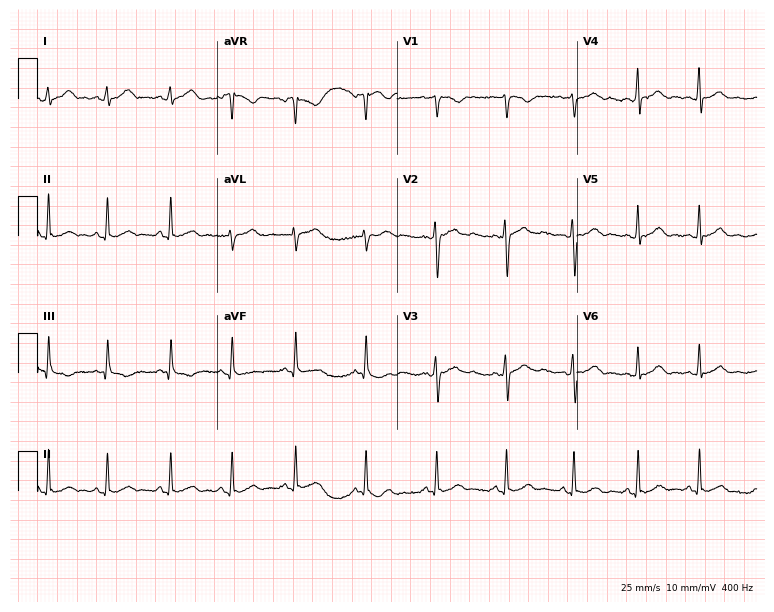
Electrocardiogram, a female patient, 19 years old. Of the six screened findings (first-degree AV block, right bundle branch block (RBBB), left bundle branch block (LBBB), sinus bradycardia, atrial fibrillation (AF), sinus tachycardia), none is recorded.